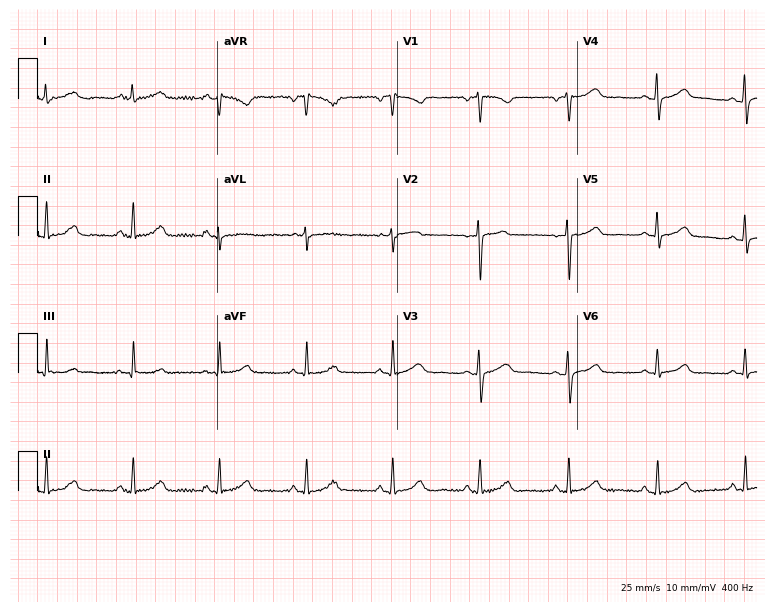
ECG — a 52-year-old female. Labelled as a normal ECG.